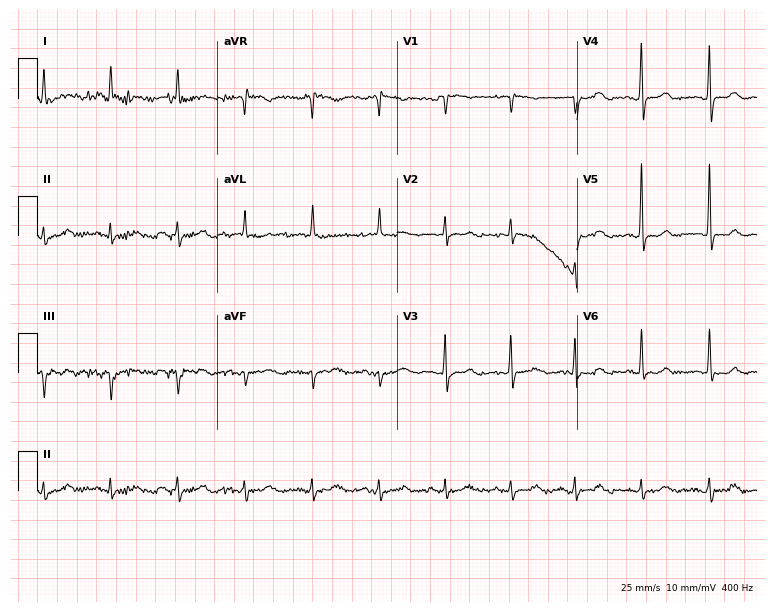
ECG — a 73-year-old male patient. Screened for six findings — first-degree AV block, right bundle branch block (RBBB), left bundle branch block (LBBB), sinus bradycardia, atrial fibrillation (AF), sinus tachycardia — none is recorded. Only these six findings were labelled.